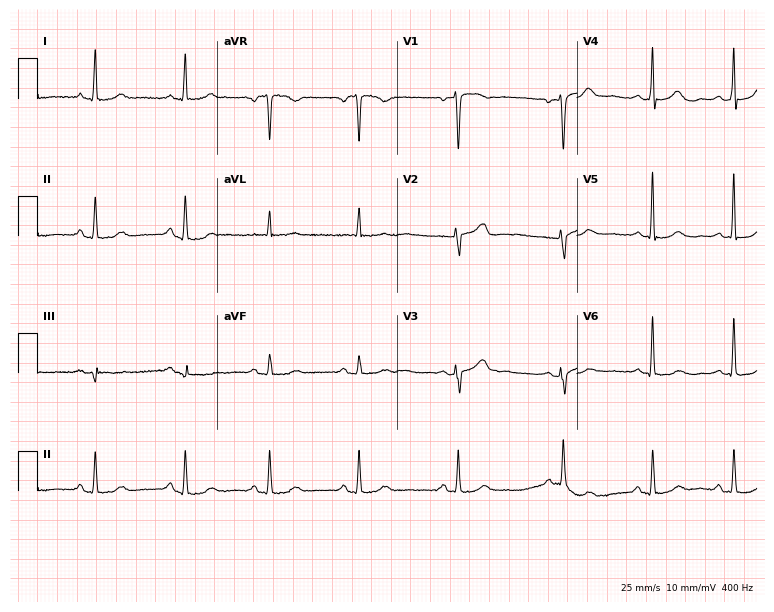
ECG — a woman, 55 years old. Screened for six findings — first-degree AV block, right bundle branch block, left bundle branch block, sinus bradycardia, atrial fibrillation, sinus tachycardia — none is recorded.